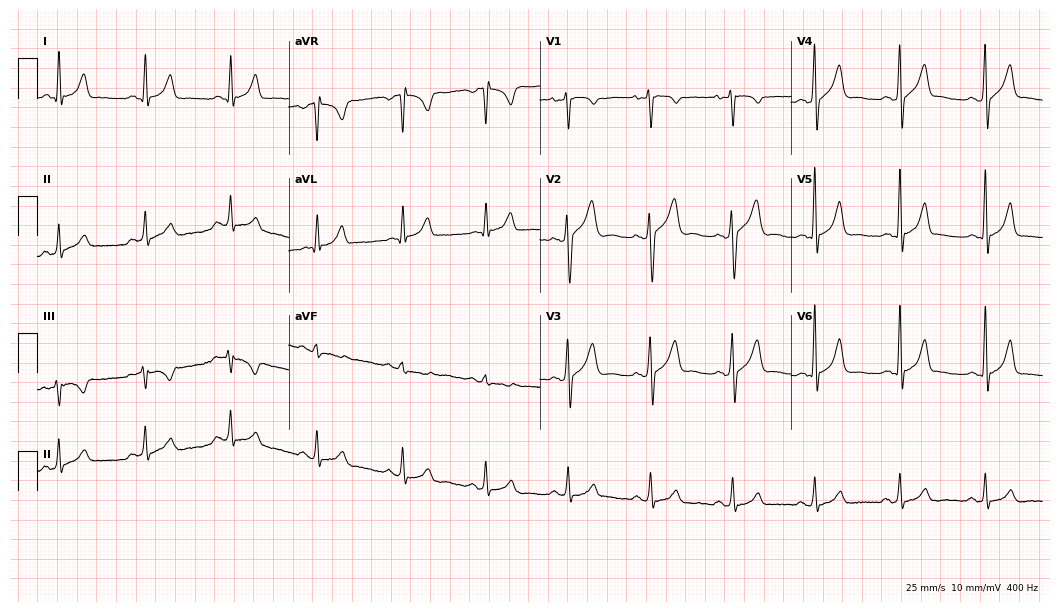
Electrocardiogram, a male, 38 years old. Overall reading on record: normal ECG.